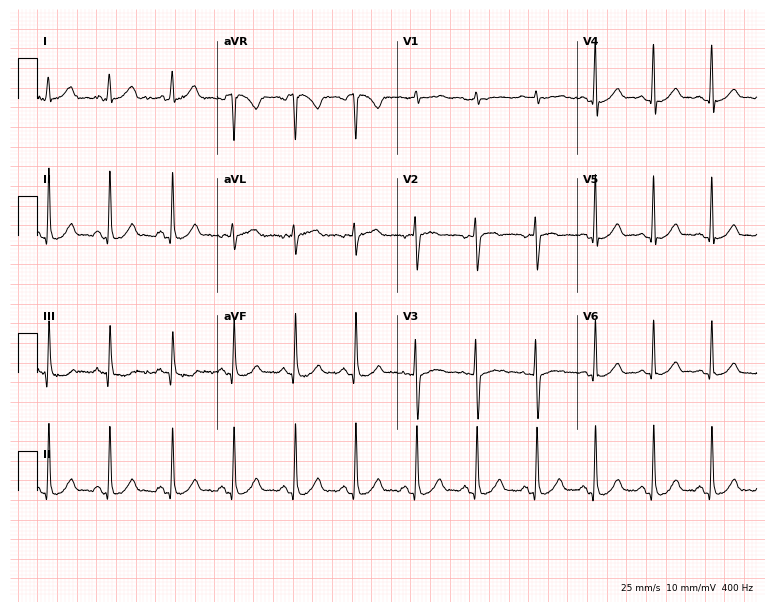
12-lead ECG from a 21-year-old woman. Recorded interpretation: within normal limits.